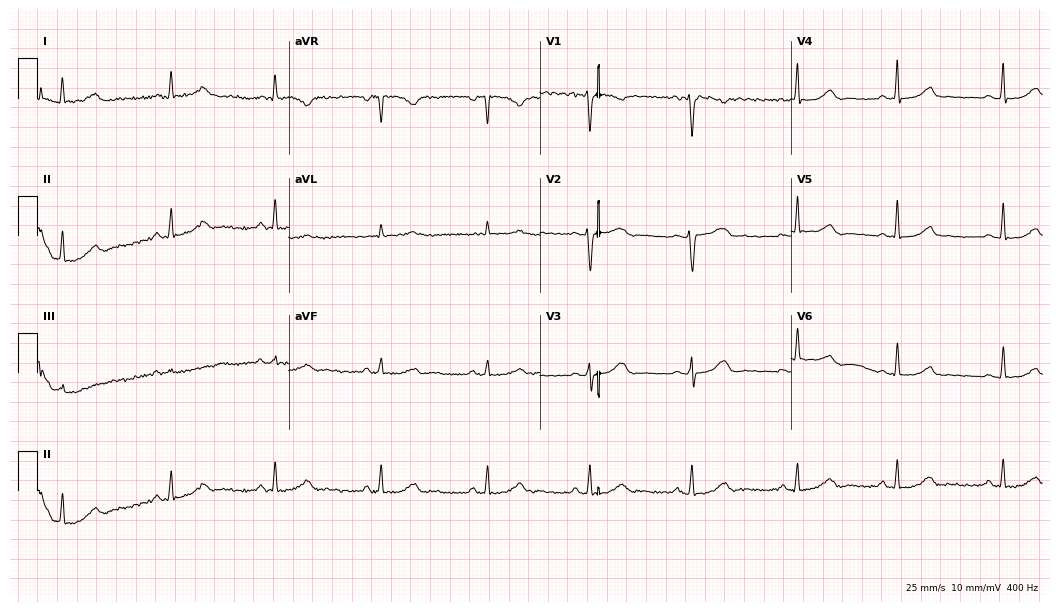
12-lead ECG from a 45-year-old female (10.2-second recording at 400 Hz). No first-degree AV block, right bundle branch block, left bundle branch block, sinus bradycardia, atrial fibrillation or sinus tachycardia recorded for this tracing. Only these six findings were labelled.